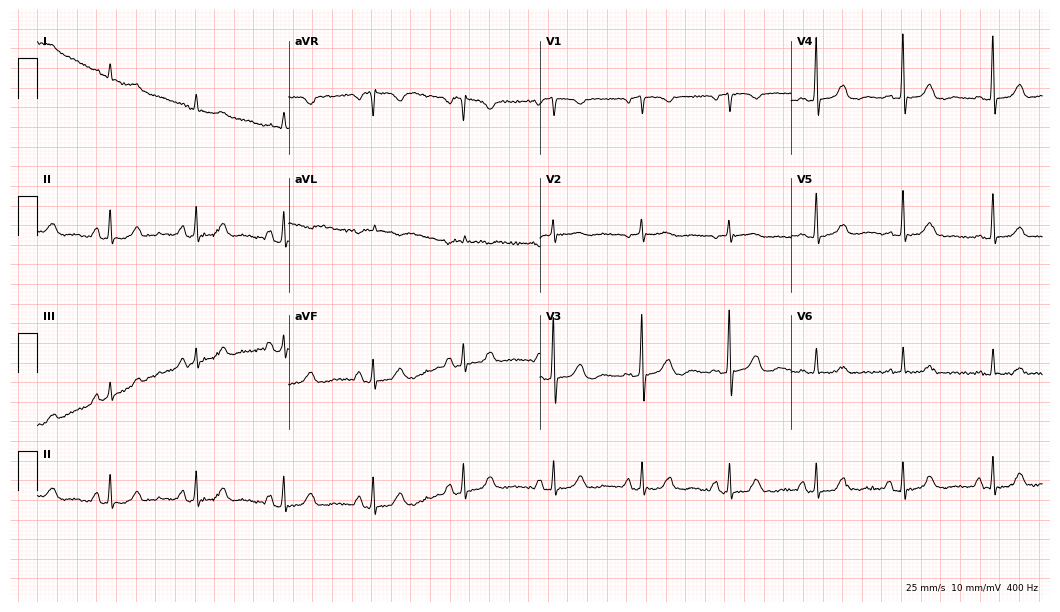
ECG — a female patient, 79 years old. Labelled as a normal ECG.